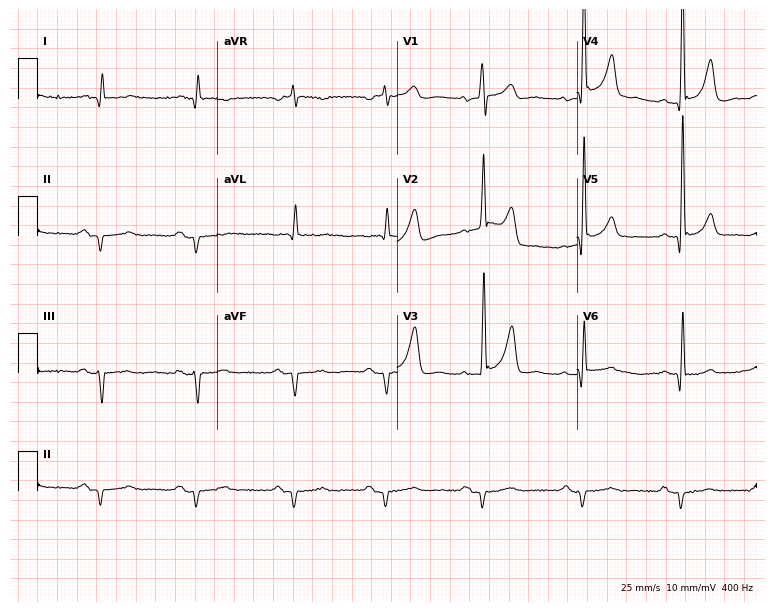
Standard 12-lead ECG recorded from a 71-year-old male (7.3-second recording at 400 Hz). None of these six findings is recorded: first-degree AV block, right bundle branch block (RBBB), left bundle branch block (LBBB), sinus bradycardia, atrial fibrillation (AF), sinus tachycardia.